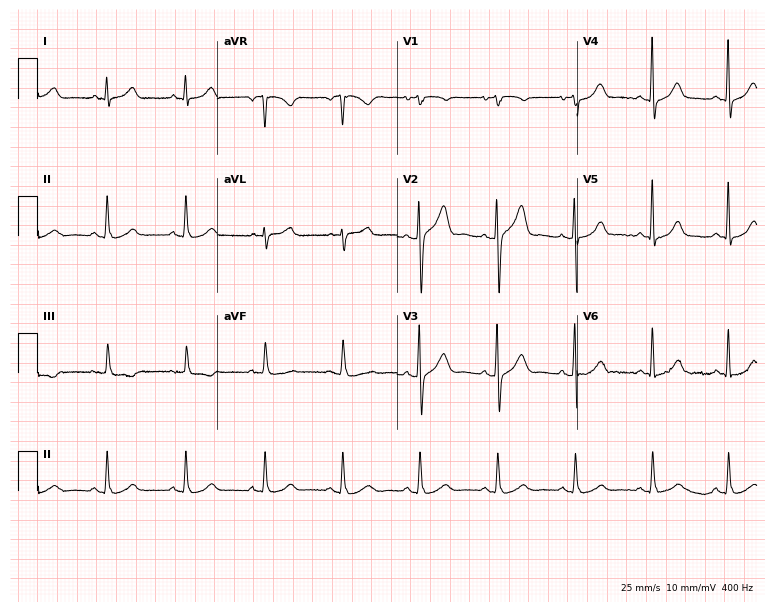
12-lead ECG from an 84-year-old man. No first-degree AV block, right bundle branch block, left bundle branch block, sinus bradycardia, atrial fibrillation or sinus tachycardia recorded for this tracing.